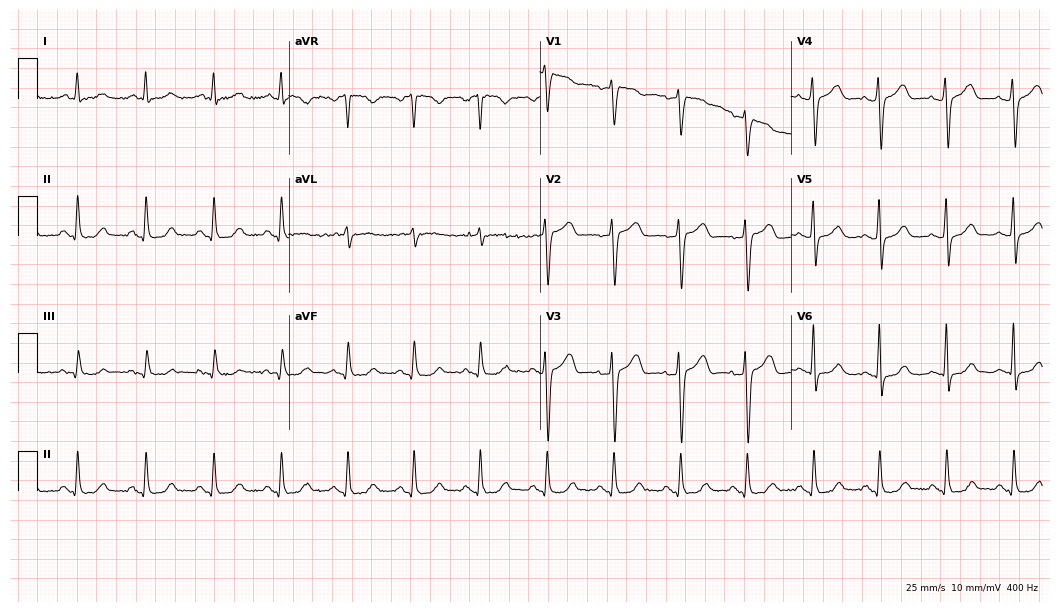
Electrocardiogram, a 48-year-old female patient. Of the six screened findings (first-degree AV block, right bundle branch block (RBBB), left bundle branch block (LBBB), sinus bradycardia, atrial fibrillation (AF), sinus tachycardia), none is recorded. Other findings, if any, are not listed.